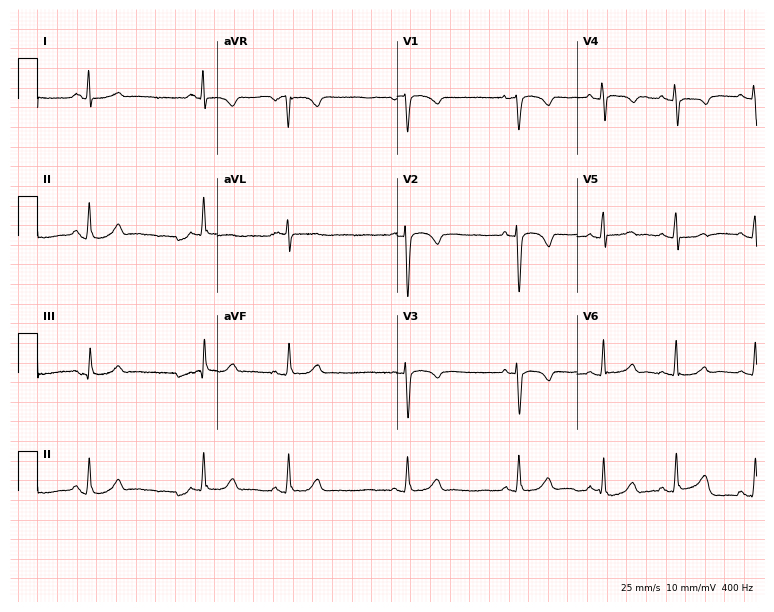
ECG (7.3-second recording at 400 Hz) — a woman, 22 years old. Labelled as a normal ECG.